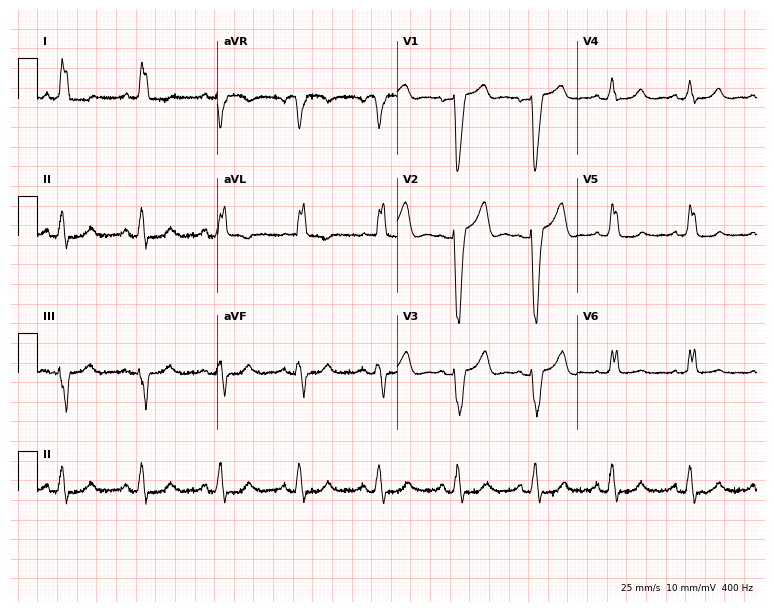
12-lead ECG from a female patient, 81 years old. Shows left bundle branch block (LBBB).